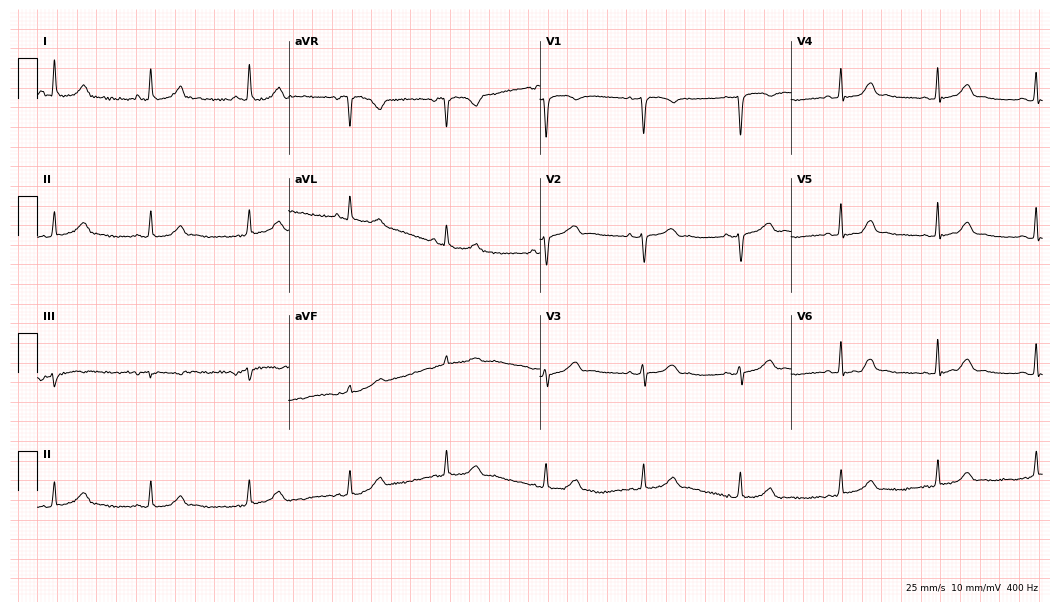
12-lead ECG (10.2-second recording at 400 Hz) from a 62-year-old female. Labelled as a normal ECG.